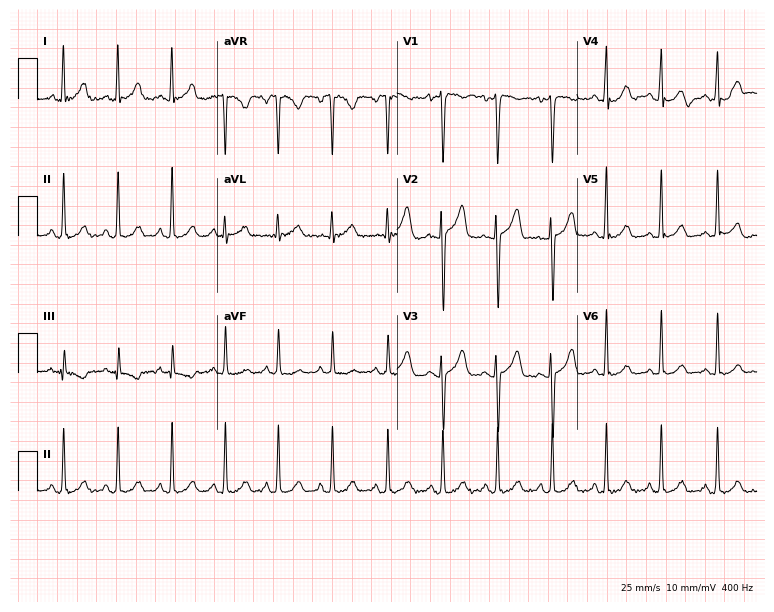
12-lead ECG from a 24-year-old woman. Shows sinus tachycardia (a sinus rate of 100 beats per minute or more).